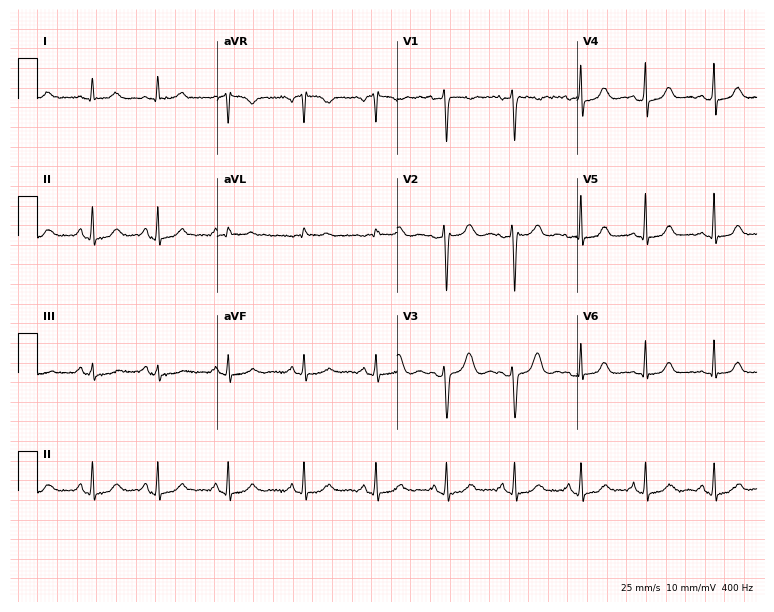
12-lead ECG from a 37-year-old female (7.3-second recording at 400 Hz). No first-degree AV block, right bundle branch block, left bundle branch block, sinus bradycardia, atrial fibrillation or sinus tachycardia recorded for this tracing. Findings outside these six are not listed.